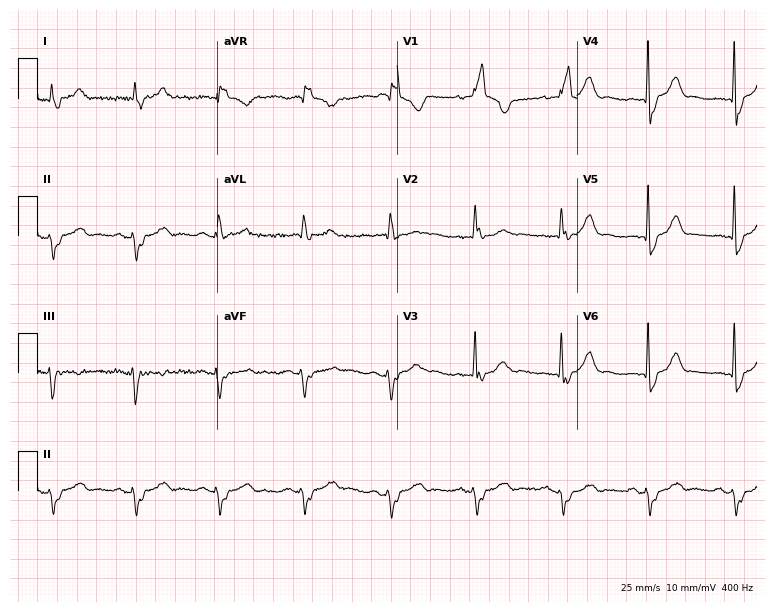
Electrocardiogram, a man, 79 years old. Of the six screened findings (first-degree AV block, right bundle branch block, left bundle branch block, sinus bradycardia, atrial fibrillation, sinus tachycardia), none is recorded. Findings outside these six are not listed.